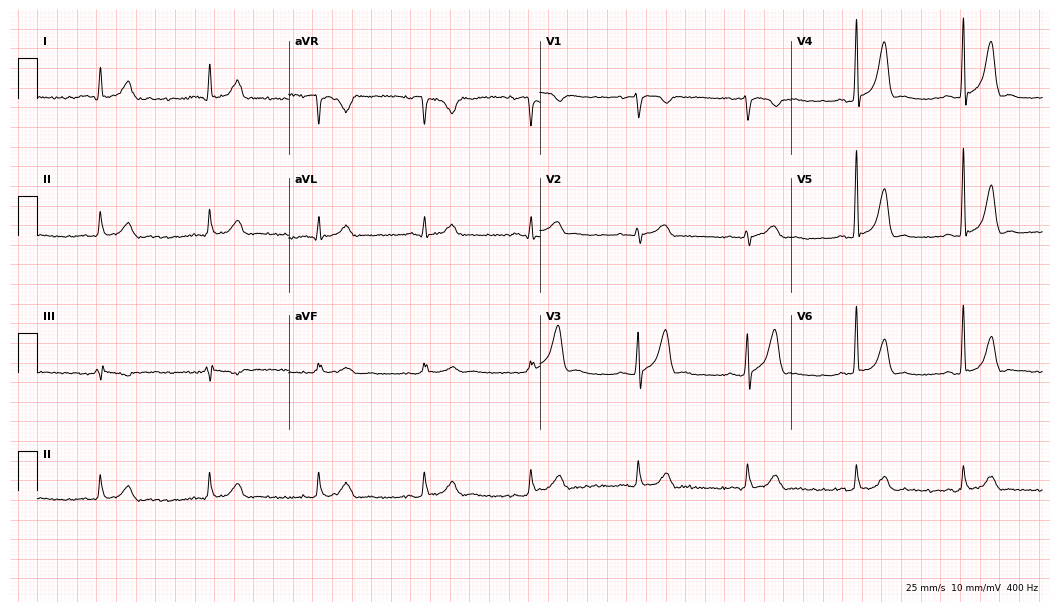
12-lead ECG from a man, 41 years old. Recorded interpretation: within normal limits.